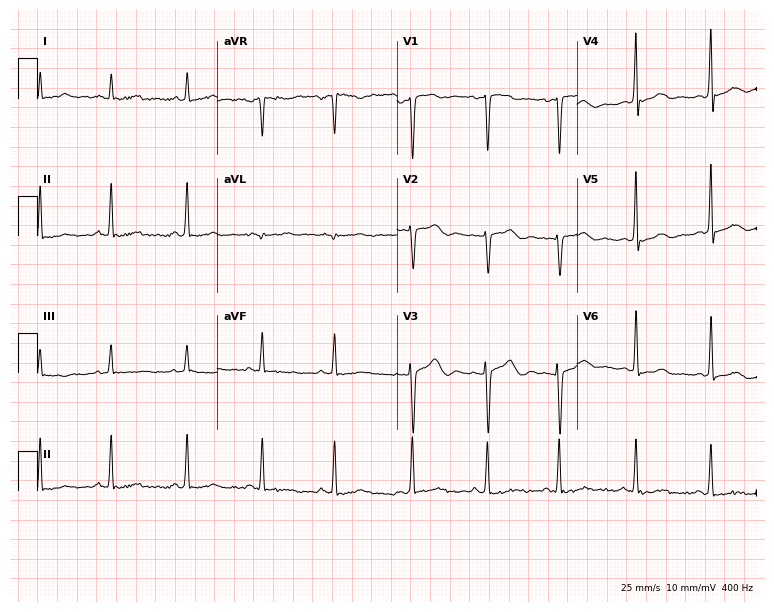
Electrocardiogram, a female, 37 years old. Of the six screened findings (first-degree AV block, right bundle branch block, left bundle branch block, sinus bradycardia, atrial fibrillation, sinus tachycardia), none is recorded.